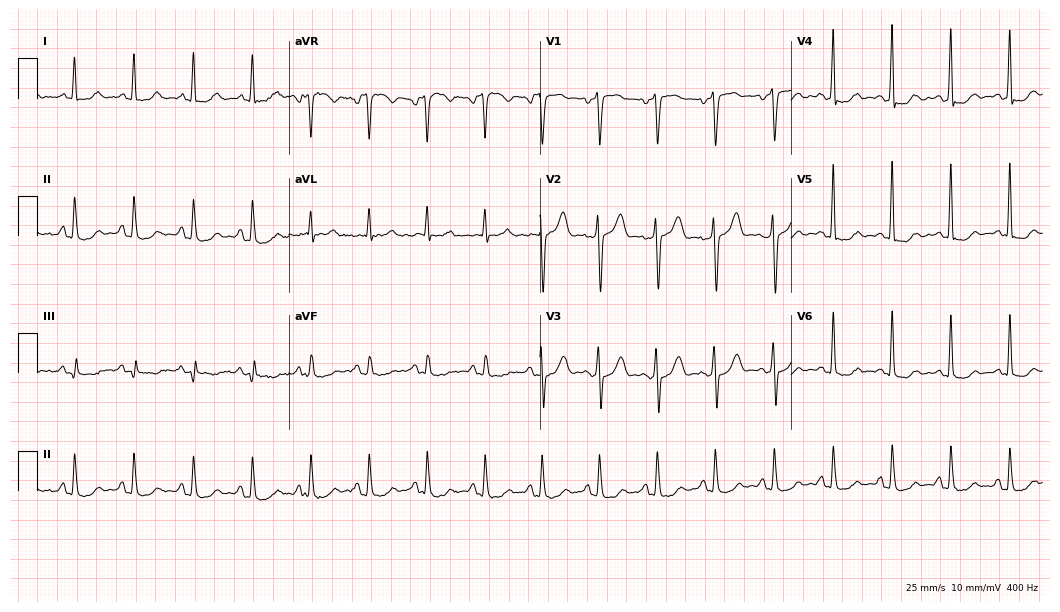
12-lead ECG from a male patient, 56 years old. Findings include sinus tachycardia (a sinus rate of 100 beats per minute or more).